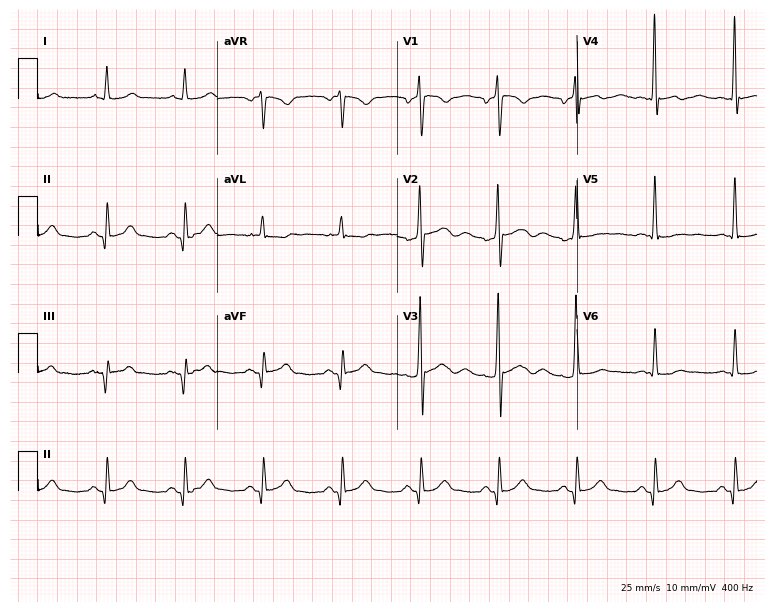
Resting 12-lead electrocardiogram (7.3-second recording at 400 Hz). Patient: a 40-year-old male. None of these six findings is recorded: first-degree AV block, right bundle branch block, left bundle branch block, sinus bradycardia, atrial fibrillation, sinus tachycardia. Only these six findings were labelled.